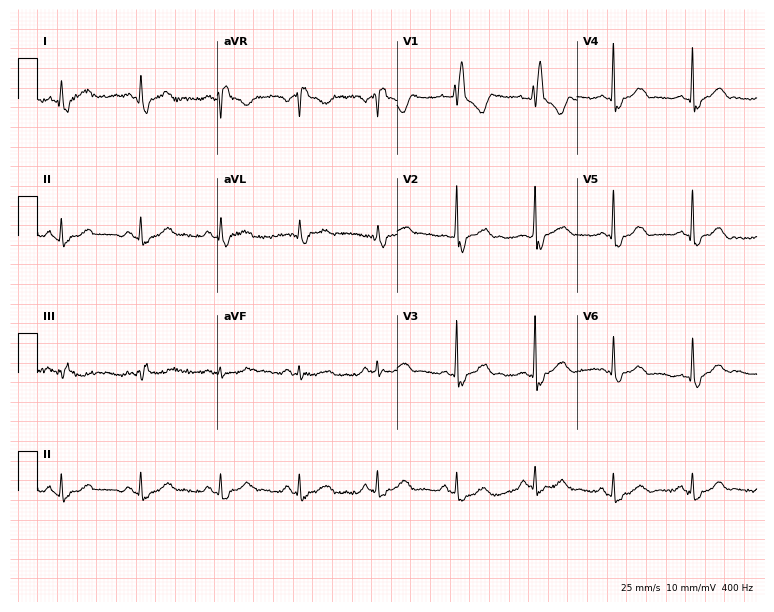
12-lead ECG (7.3-second recording at 400 Hz) from a 77-year-old man. Findings include right bundle branch block.